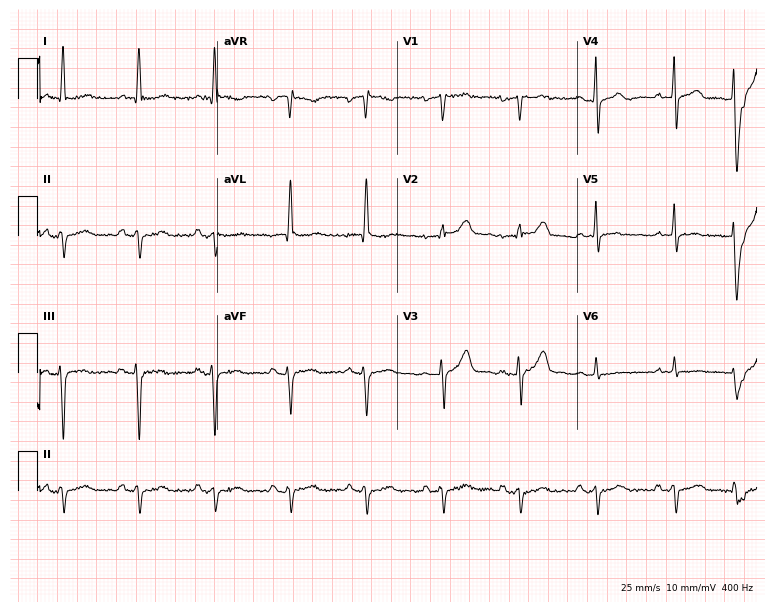
Electrocardiogram (7.3-second recording at 400 Hz), an 82-year-old man. Of the six screened findings (first-degree AV block, right bundle branch block, left bundle branch block, sinus bradycardia, atrial fibrillation, sinus tachycardia), none is recorded.